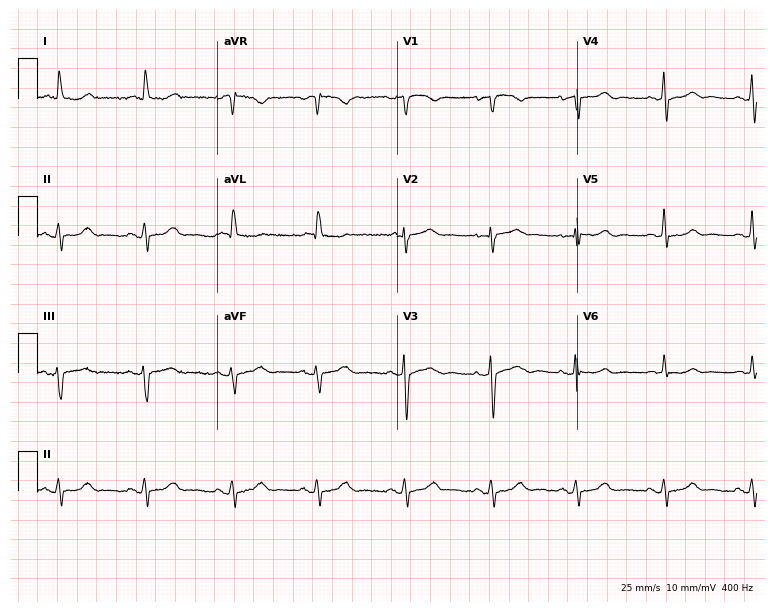
ECG — a 76-year-old female patient. Labelled as a normal ECG.